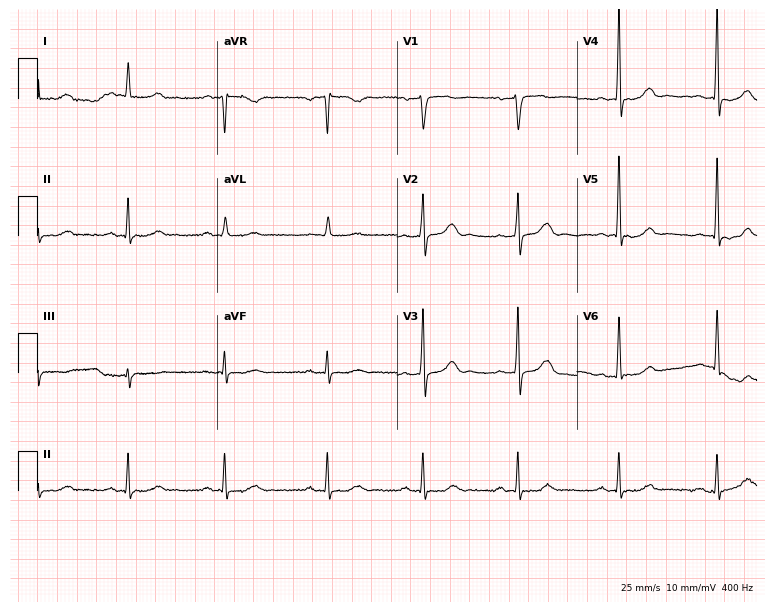
12-lead ECG from a female, 61 years old (7.3-second recording at 400 Hz). No first-degree AV block, right bundle branch block, left bundle branch block, sinus bradycardia, atrial fibrillation or sinus tachycardia recorded for this tracing. Findings outside these six are not listed.